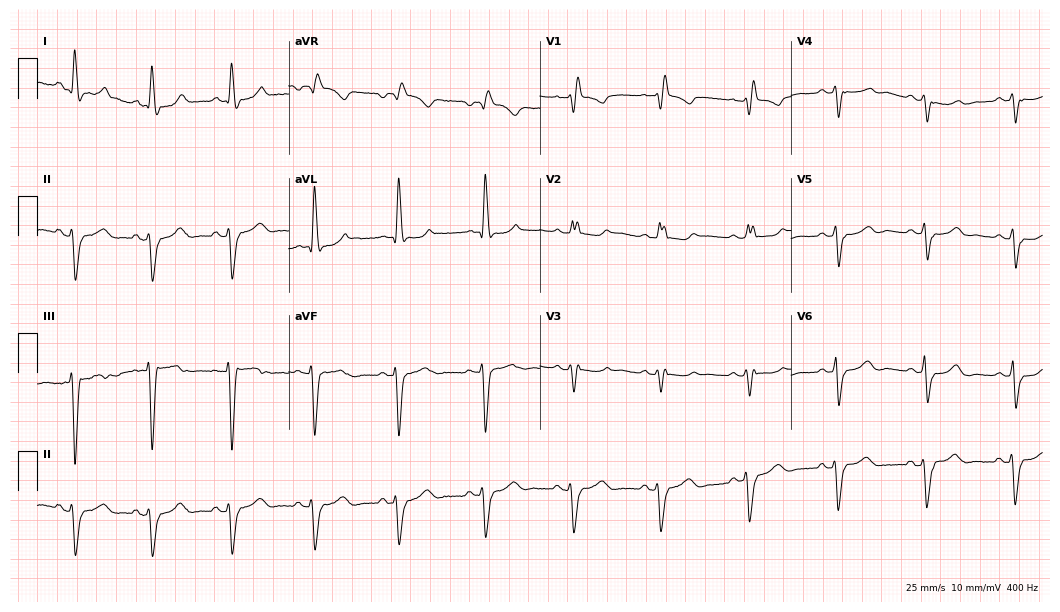
12-lead ECG from an 83-year-old woman. No first-degree AV block, right bundle branch block, left bundle branch block, sinus bradycardia, atrial fibrillation or sinus tachycardia recorded for this tracing. Other findings, if any, are not listed.